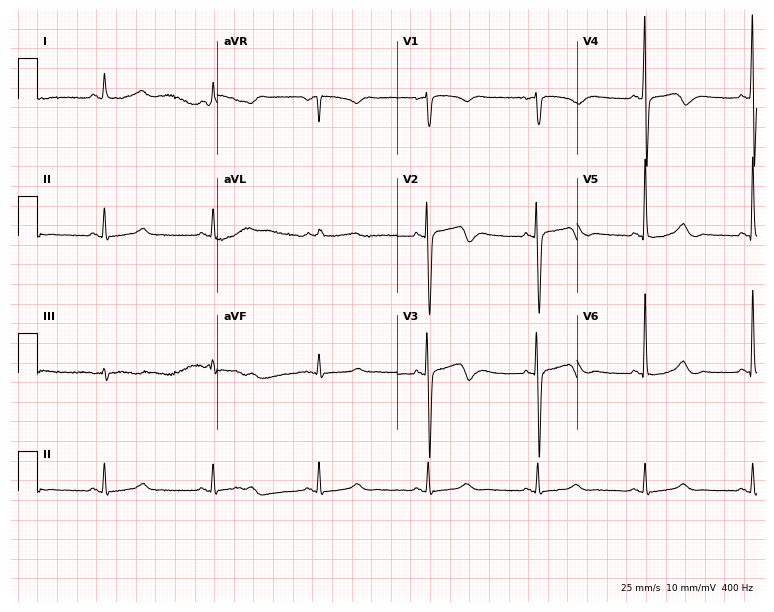
Electrocardiogram, a man, 56 years old. Of the six screened findings (first-degree AV block, right bundle branch block, left bundle branch block, sinus bradycardia, atrial fibrillation, sinus tachycardia), none is recorded. Findings outside these six are not listed.